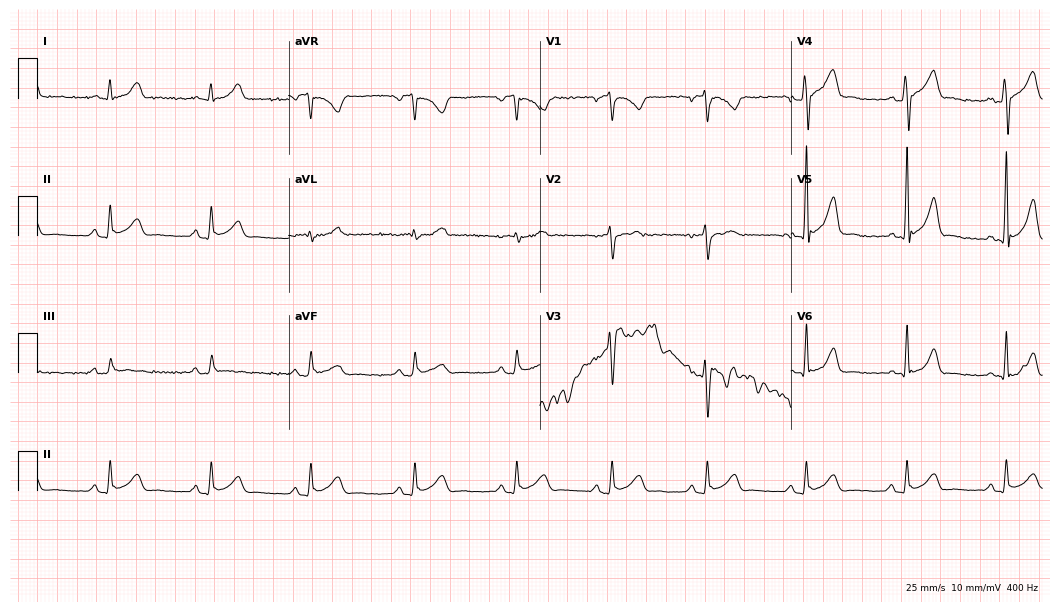
Standard 12-lead ECG recorded from a male, 33 years old (10.2-second recording at 400 Hz). None of these six findings is recorded: first-degree AV block, right bundle branch block, left bundle branch block, sinus bradycardia, atrial fibrillation, sinus tachycardia. Findings outside these six are not listed.